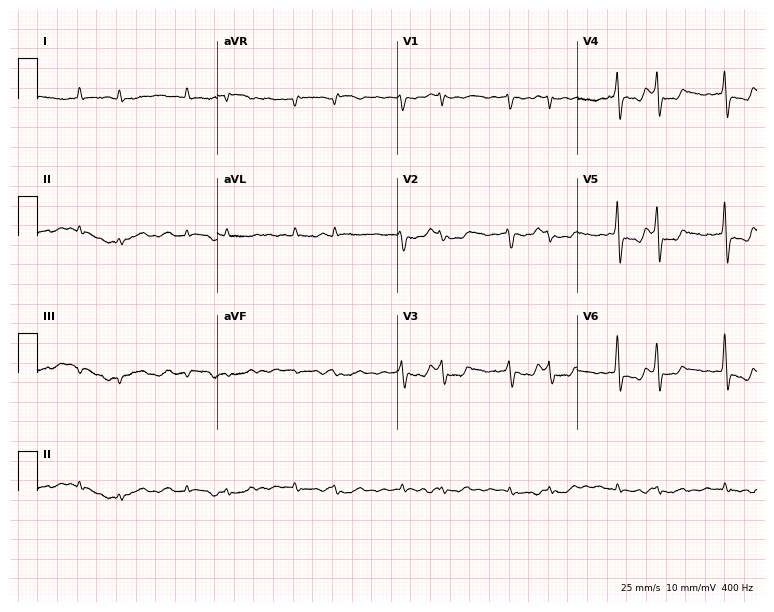
Resting 12-lead electrocardiogram. Patient: a man, 84 years old. None of these six findings is recorded: first-degree AV block, right bundle branch block (RBBB), left bundle branch block (LBBB), sinus bradycardia, atrial fibrillation (AF), sinus tachycardia.